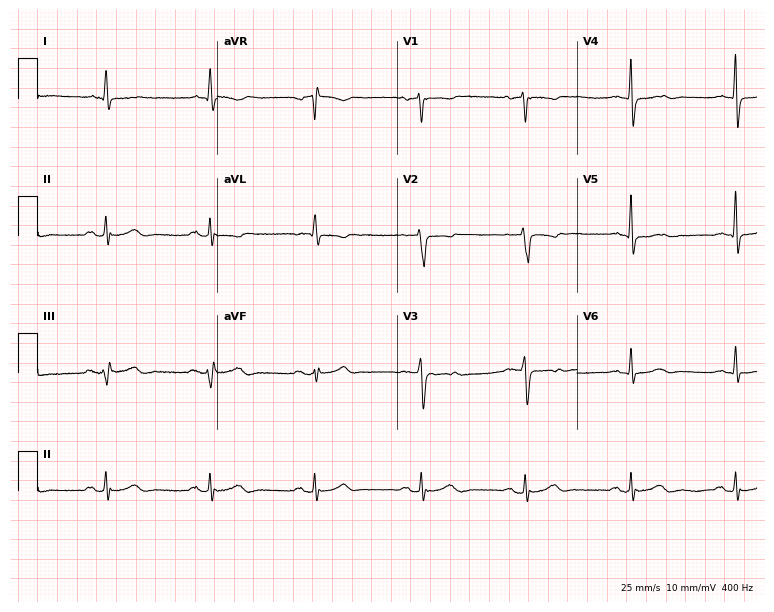
Resting 12-lead electrocardiogram (7.3-second recording at 400 Hz). Patient: a woman, 76 years old. None of these six findings is recorded: first-degree AV block, right bundle branch block, left bundle branch block, sinus bradycardia, atrial fibrillation, sinus tachycardia. Other findings, if any, are not listed.